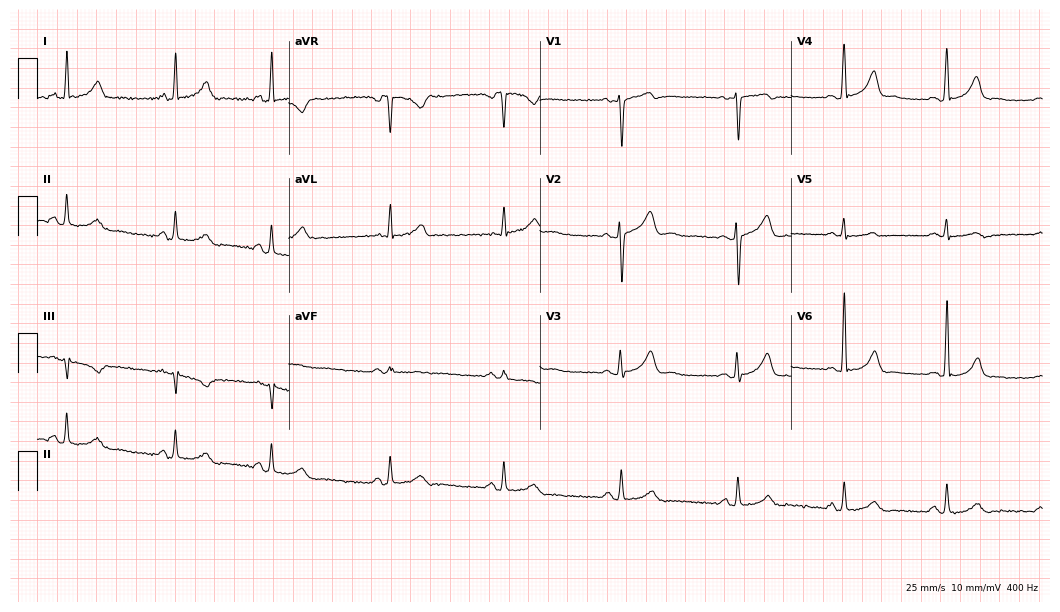
ECG (10.2-second recording at 400 Hz) — a male patient, 47 years old. Labelled as a normal ECG.